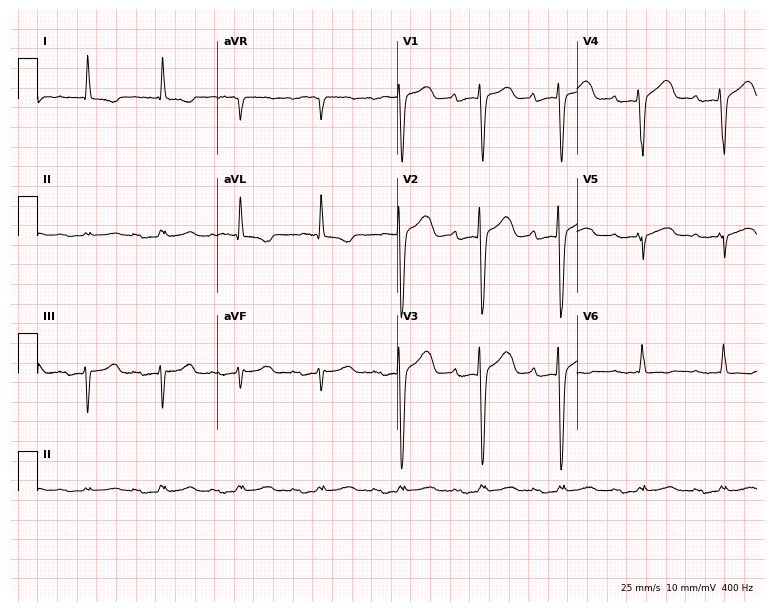
ECG — a 72-year-old woman. Findings include first-degree AV block.